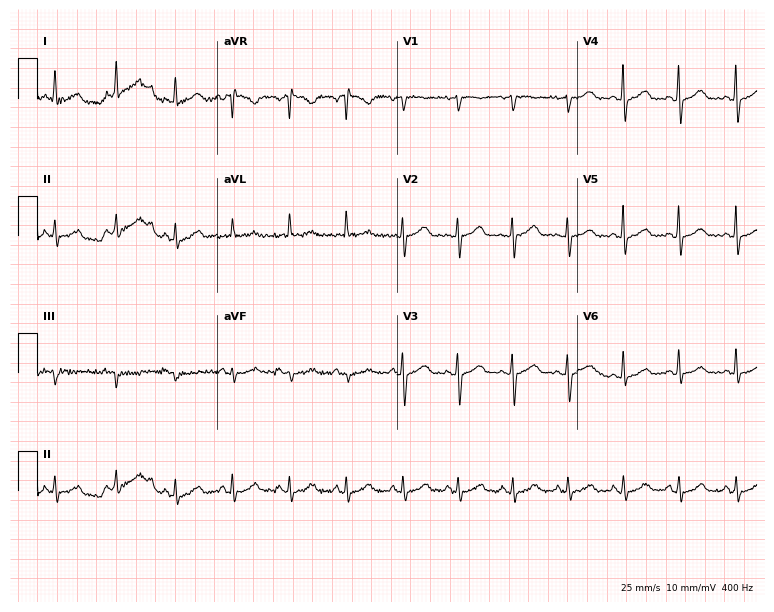
Standard 12-lead ECG recorded from a female, 52 years old. The tracing shows sinus tachycardia (a sinus rate of 100 beats per minute or more).